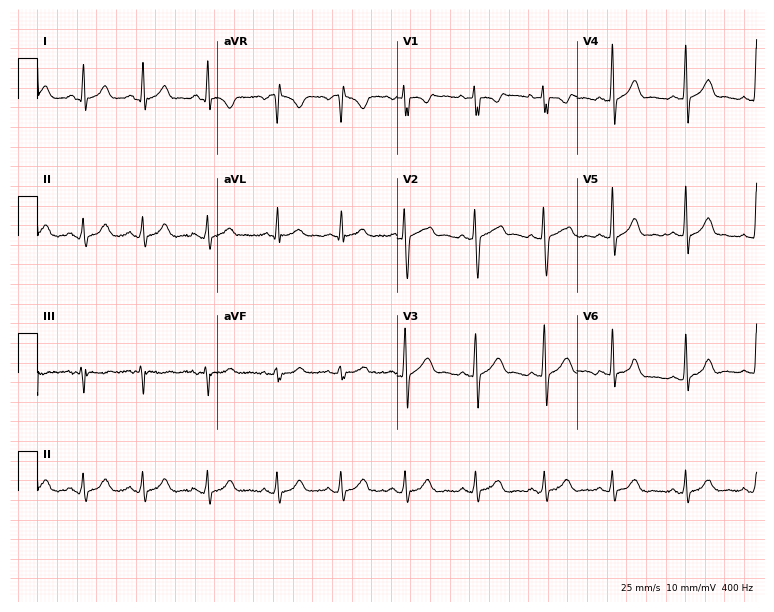
ECG (7.3-second recording at 400 Hz) — a 27-year-old female patient. Labelled as a normal ECG.